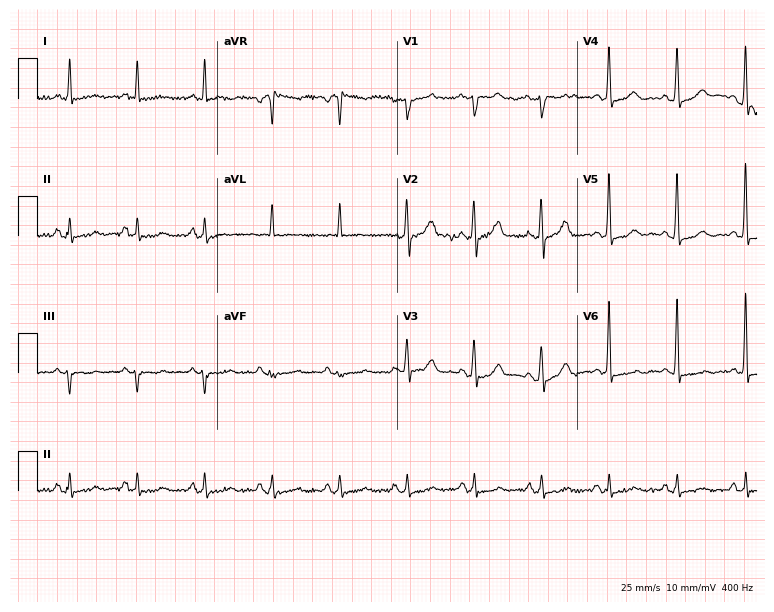
Standard 12-lead ECG recorded from a male patient, 83 years old. None of these six findings is recorded: first-degree AV block, right bundle branch block, left bundle branch block, sinus bradycardia, atrial fibrillation, sinus tachycardia.